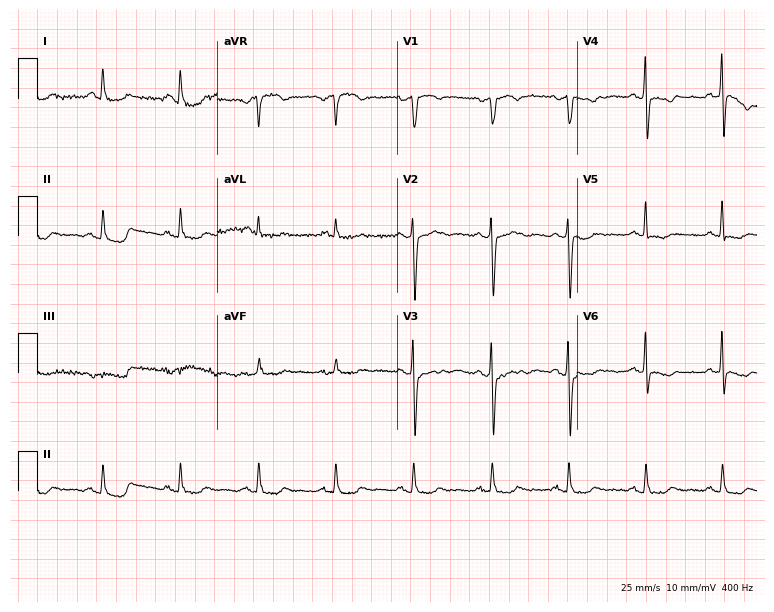
Resting 12-lead electrocardiogram (7.3-second recording at 400 Hz). Patient: a female, 77 years old. None of these six findings is recorded: first-degree AV block, right bundle branch block, left bundle branch block, sinus bradycardia, atrial fibrillation, sinus tachycardia. Only these six findings were labelled.